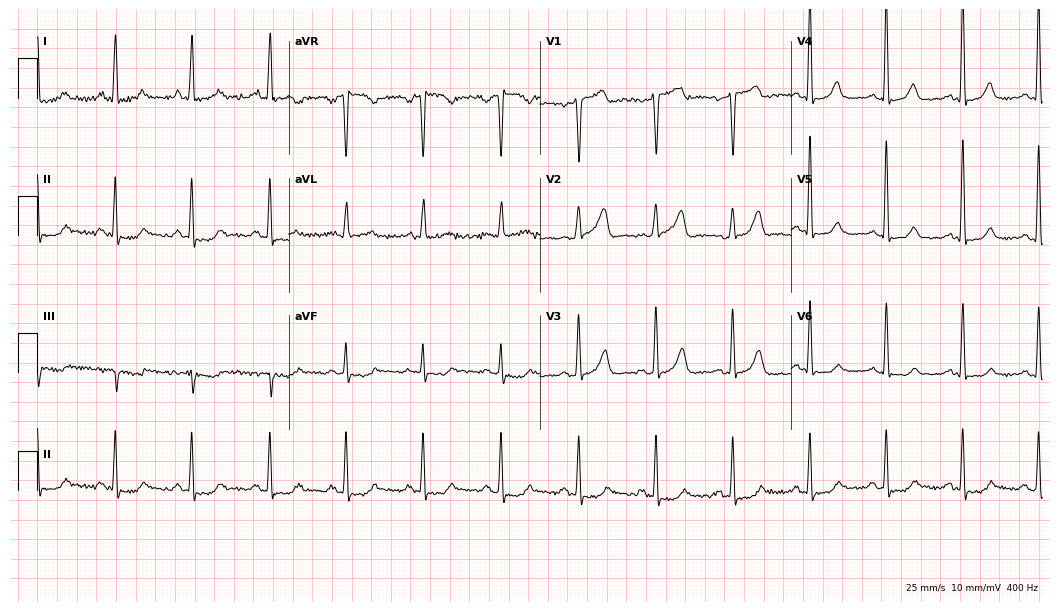
Electrocardiogram (10.2-second recording at 400 Hz), a male, 47 years old. Overall reading on record: normal ECG.